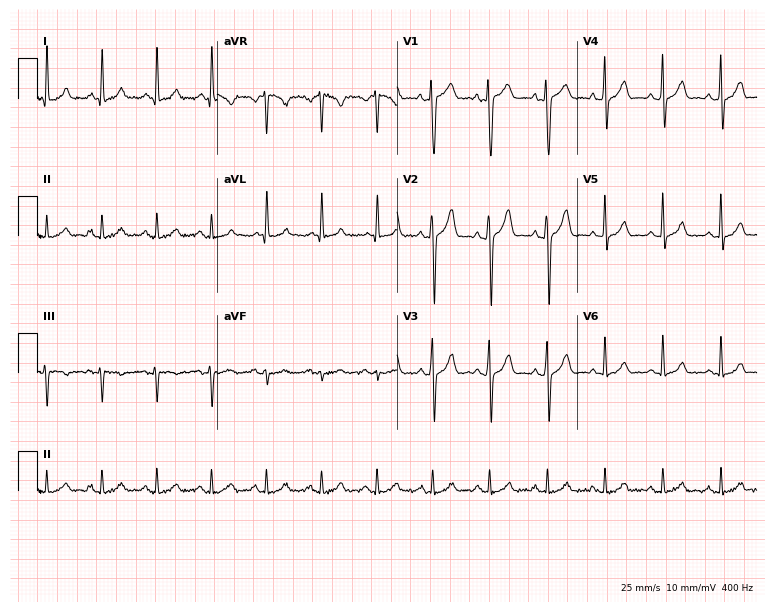
Resting 12-lead electrocardiogram (7.3-second recording at 400 Hz). Patient: a 31-year-old male. Read as a normal ECG.